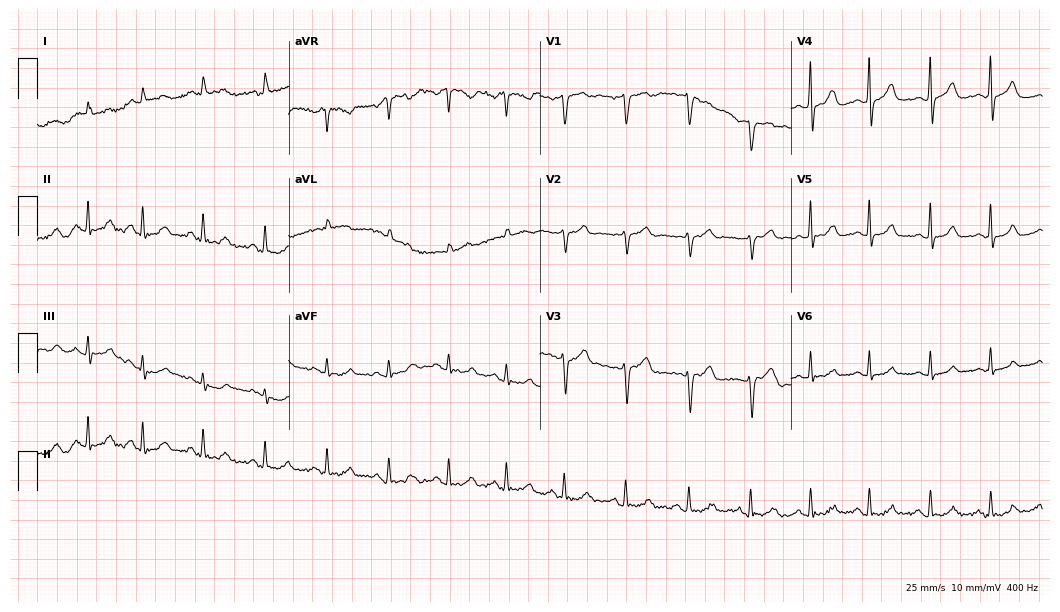
12-lead ECG from a 35-year-old female patient. Screened for six findings — first-degree AV block, right bundle branch block, left bundle branch block, sinus bradycardia, atrial fibrillation, sinus tachycardia — none is recorded.